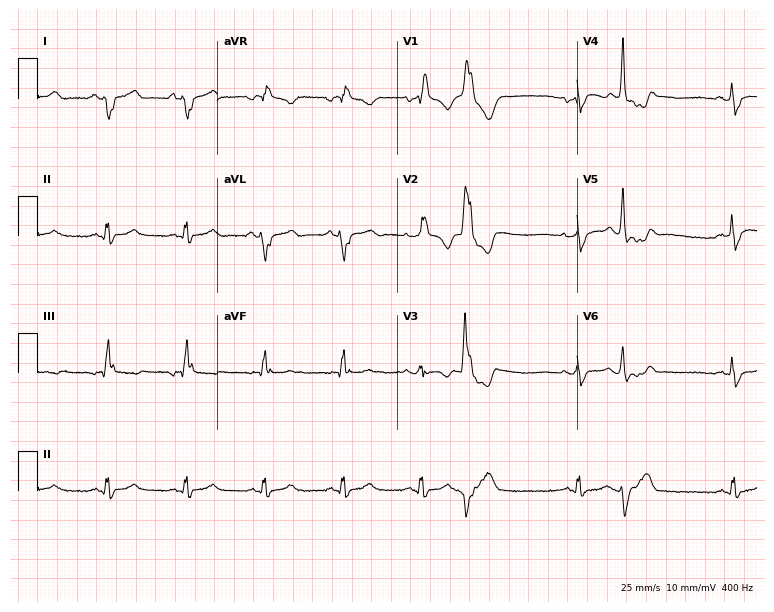
Standard 12-lead ECG recorded from a male patient, 47 years old (7.3-second recording at 400 Hz). The tracing shows right bundle branch block (RBBB).